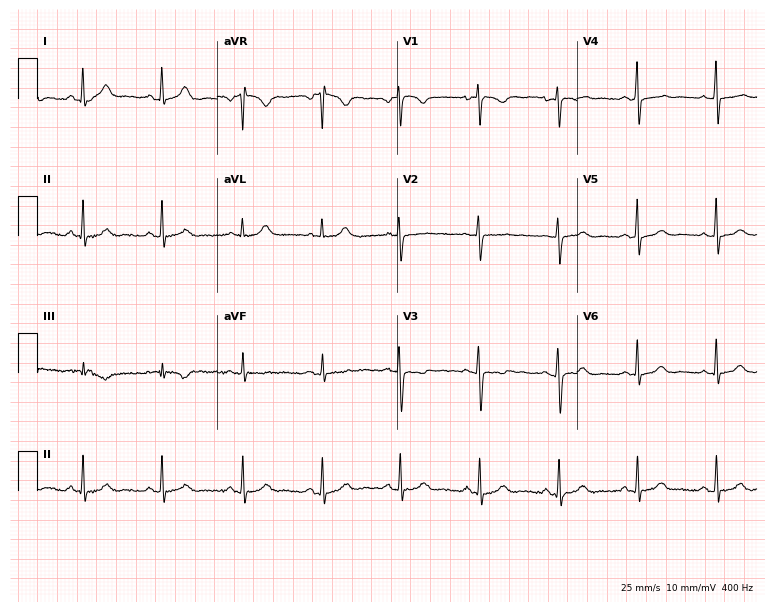
Resting 12-lead electrocardiogram (7.3-second recording at 400 Hz). Patient: a 38-year-old female. None of these six findings is recorded: first-degree AV block, right bundle branch block, left bundle branch block, sinus bradycardia, atrial fibrillation, sinus tachycardia.